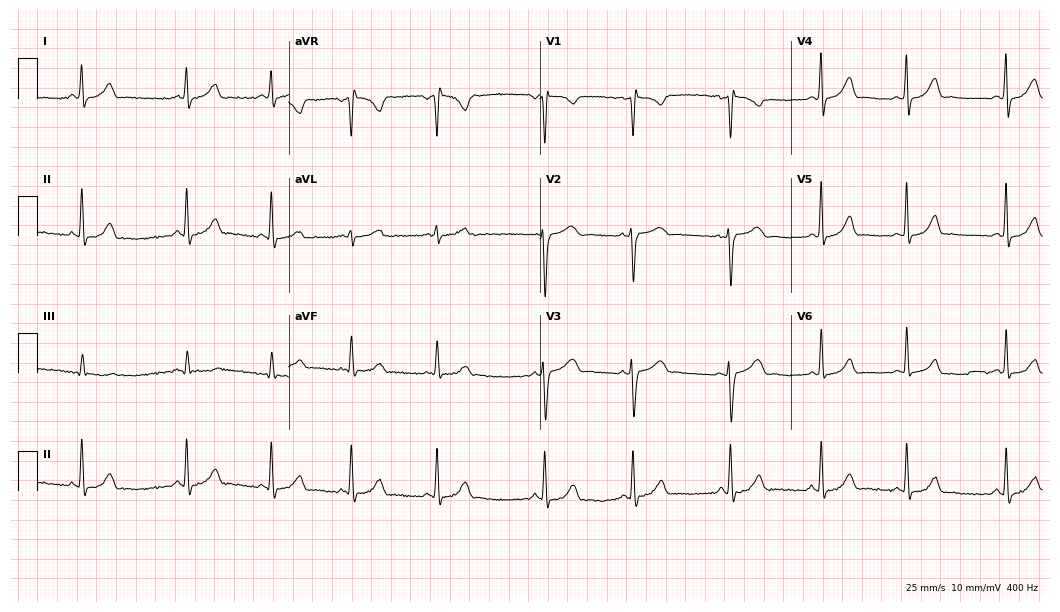
12-lead ECG from a 24-year-old female patient (10.2-second recording at 400 Hz). Recorded interpretation: within normal limits.